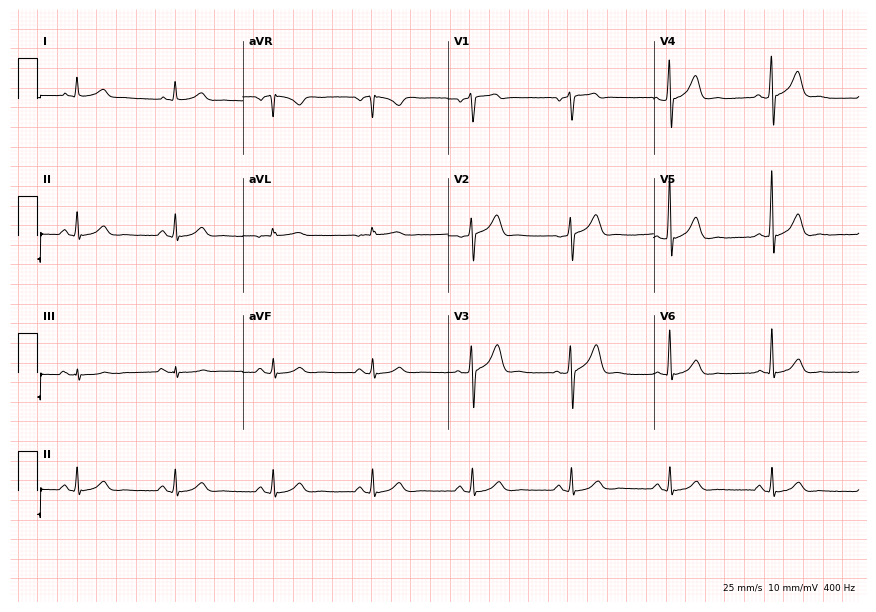
12-lead ECG from a 67-year-old male. Recorded interpretation: within normal limits.